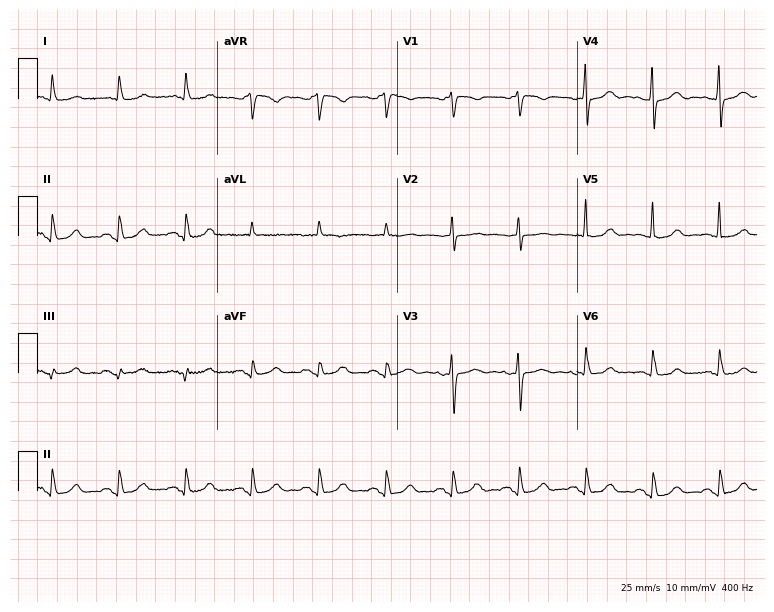
Resting 12-lead electrocardiogram. Patient: a female, 72 years old. Read as a normal ECG.